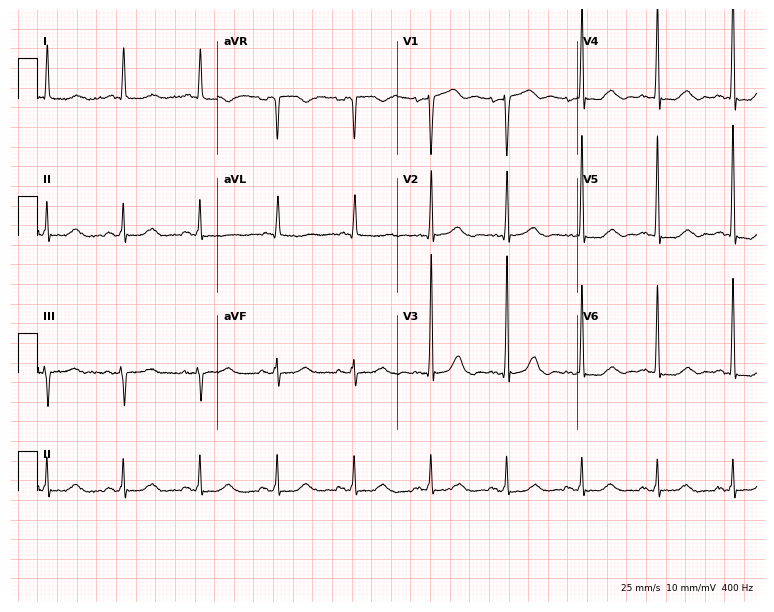
12-lead ECG from a woman, 74 years old. No first-degree AV block, right bundle branch block, left bundle branch block, sinus bradycardia, atrial fibrillation or sinus tachycardia recorded for this tracing. Other findings, if any, are not listed.